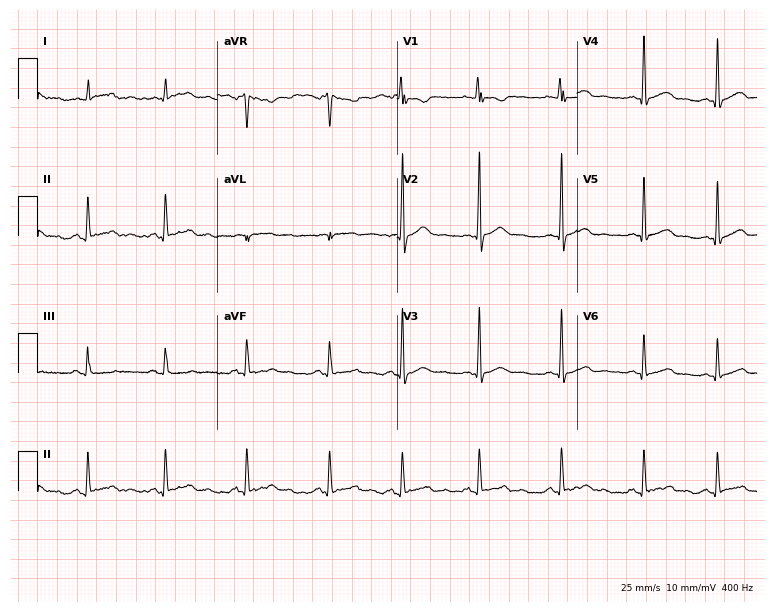
12-lead ECG (7.3-second recording at 400 Hz) from a female patient, 28 years old. Labelled as a normal ECG.